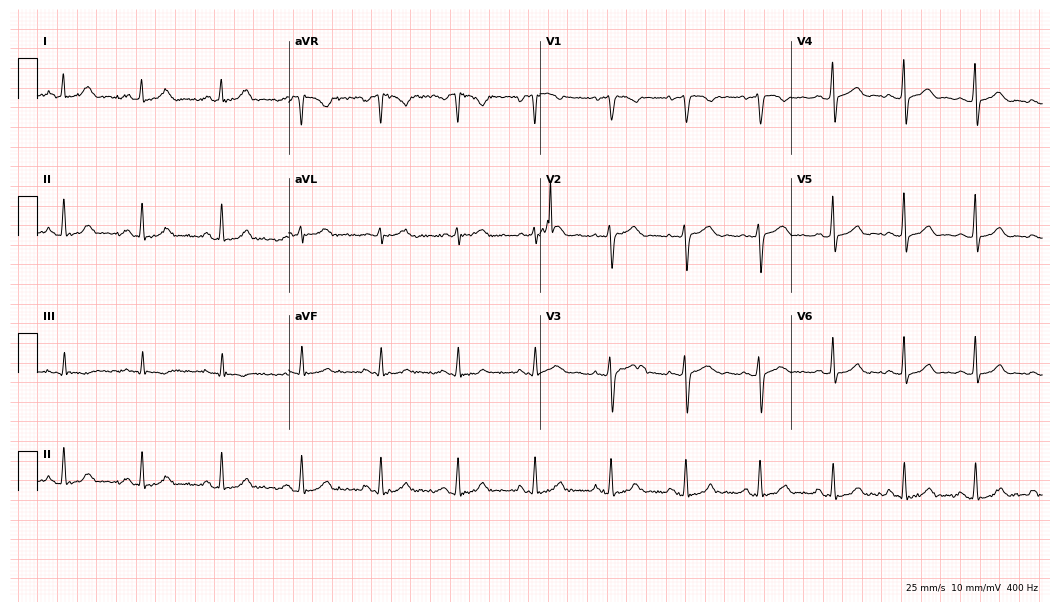
Resting 12-lead electrocardiogram (10.2-second recording at 400 Hz). Patient: a female, 33 years old. Read as a normal ECG.